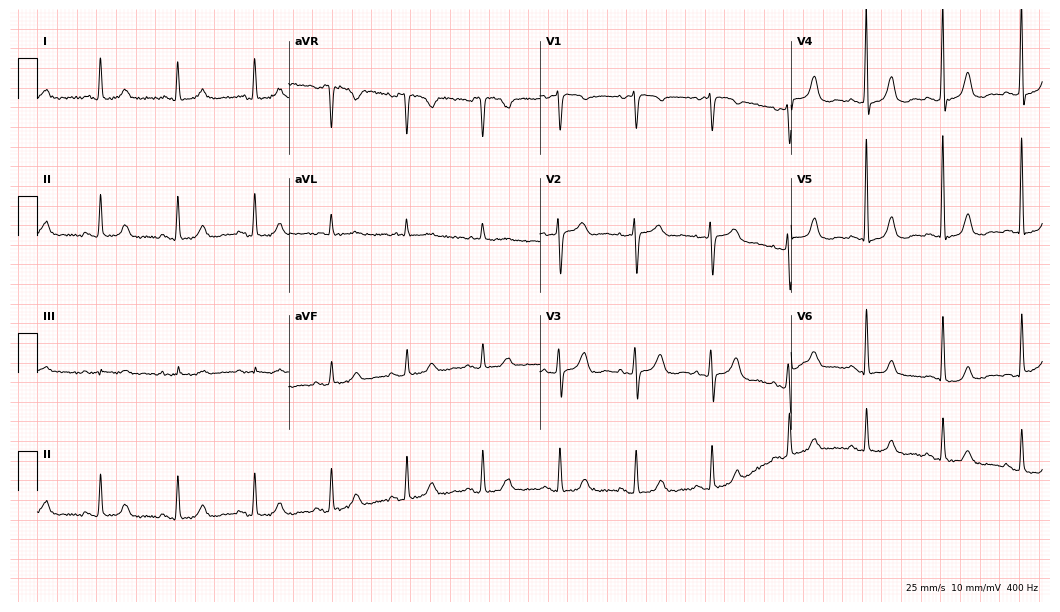
12-lead ECG (10.2-second recording at 400 Hz) from a female patient, 81 years old. Labelled as a normal ECG.